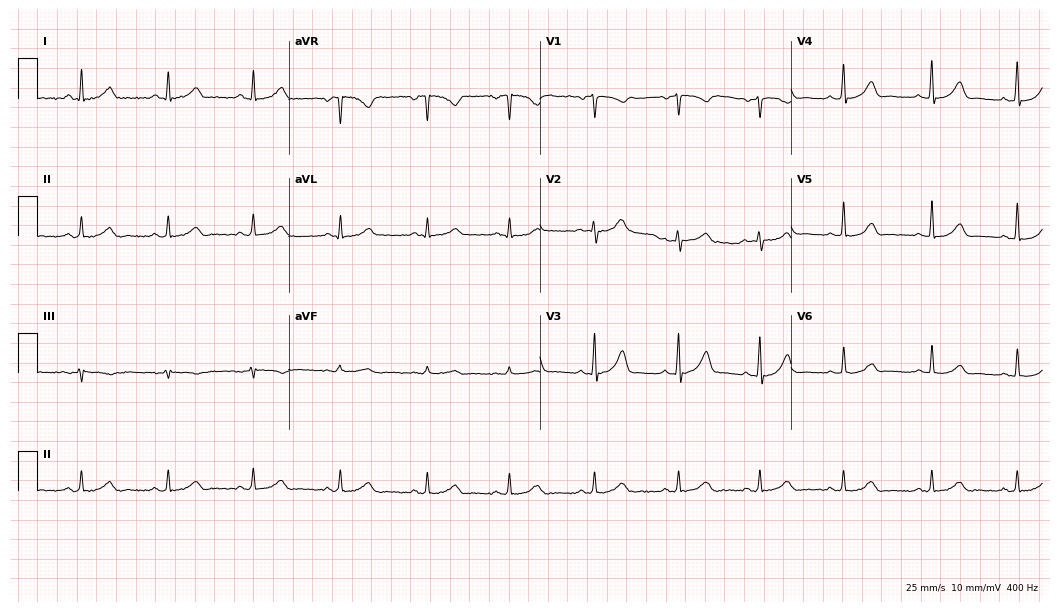
Electrocardiogram (10.2-second recording at 400 Hz), a female, 47 years old. Overall reading on record: normal ECG.